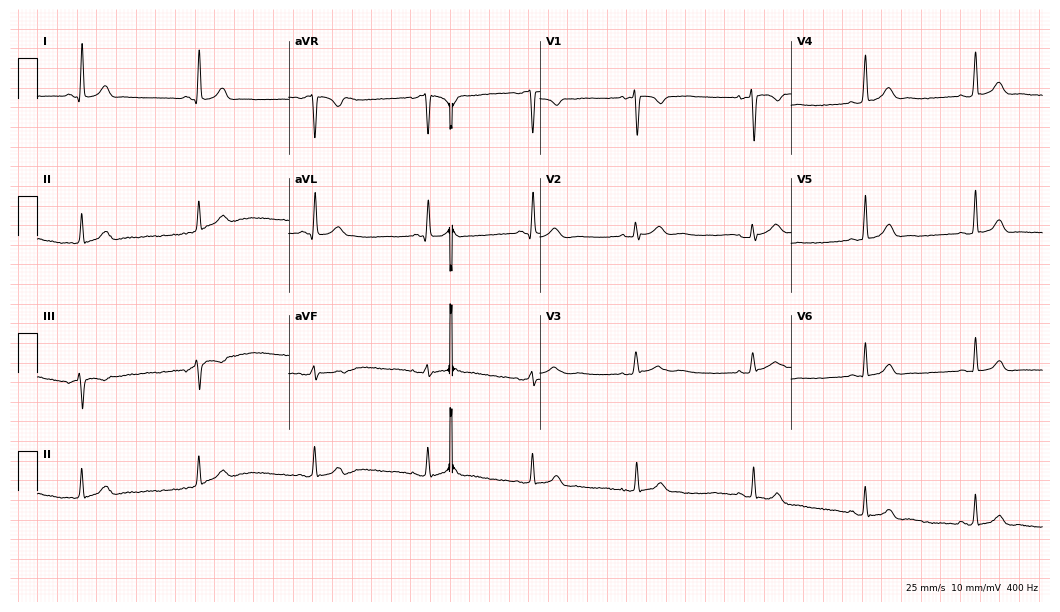
Resting 12-lead electrocardiogram. Patient: a woman, 20 years old. None of these six findings is recorded: first-degree AV block, right bundle branch block (RBBB), left bundle branch block (LBBB), sinus bradycardia, atrial fibrillation (AF), sinus tachycardia.